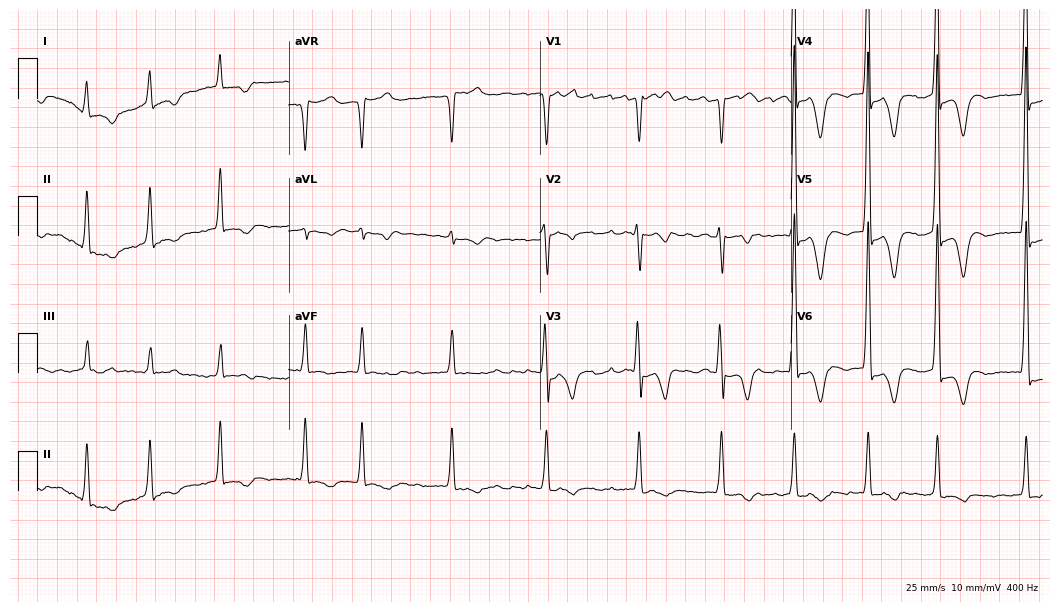
Standard 12-lead ECG recorded from a 77-year-old male patient (10.2-second recording at 400 Hz). The tracing shows atrial fibrillation (AF).